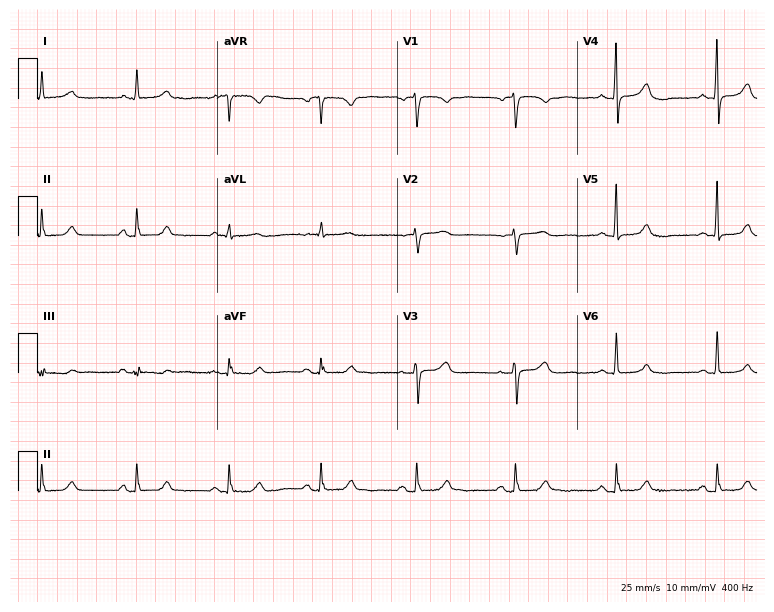
12-lead ECG from a 60-year-old female. Labelled as a normal ECG.